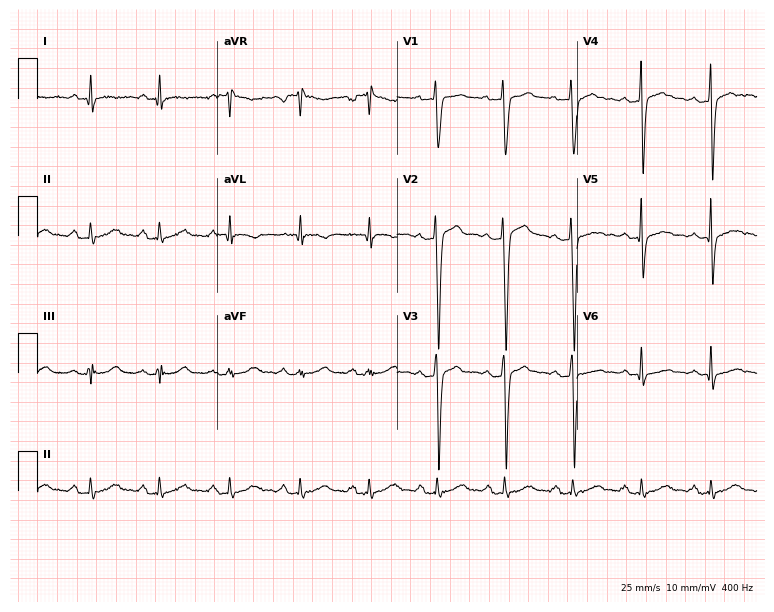
ECG (7.3-second recording at 400 Hz) — a male, 46 years old. Labelled as a normal ECG.